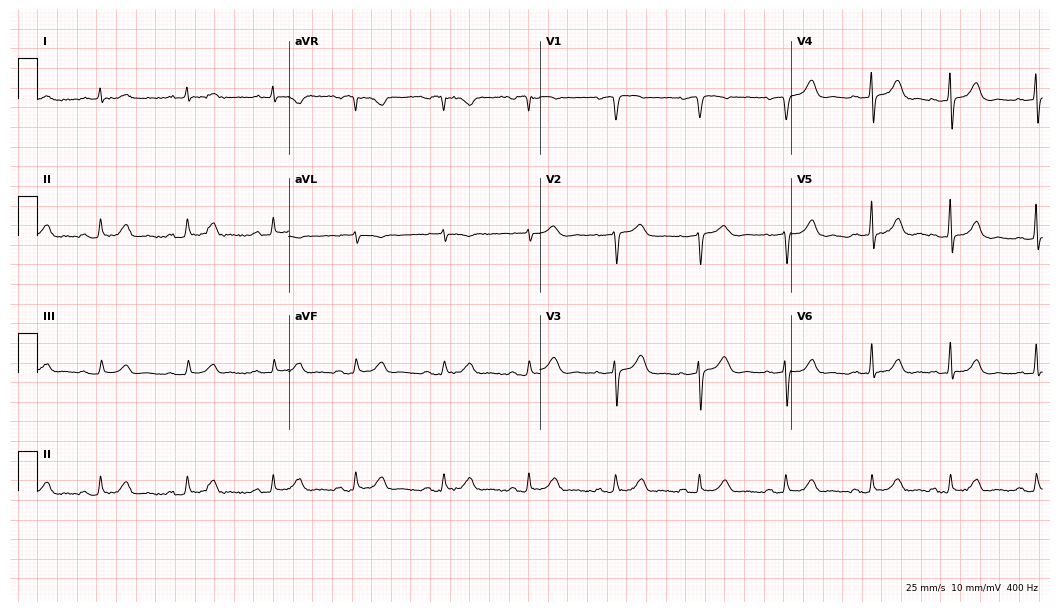
12-lead ECG (10.2-second recording at 400 Hz) from a 69-year-old woman. Labelled as a normal ECG.